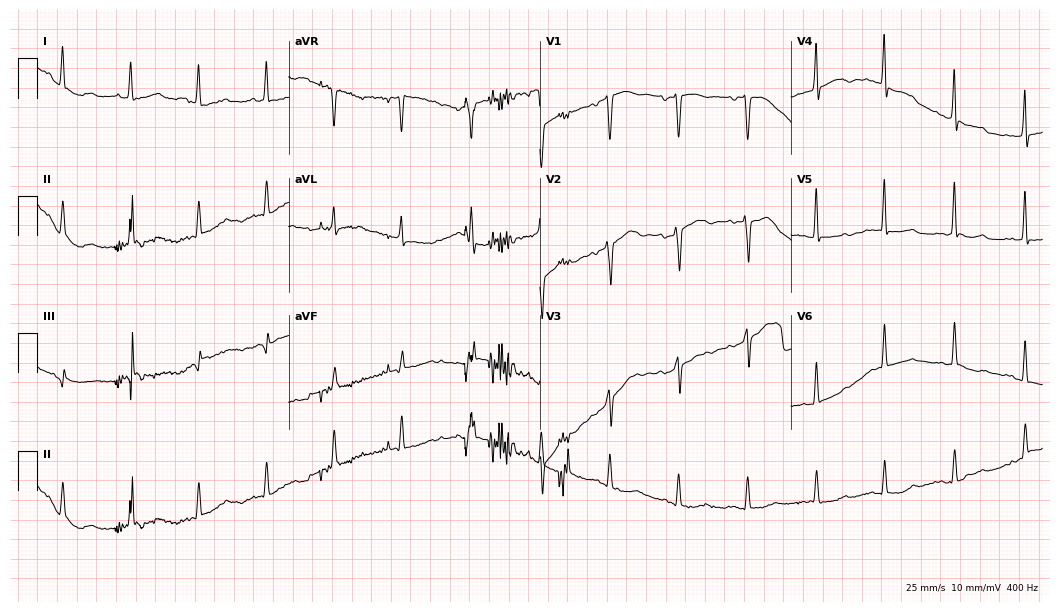
Resting 12-lead electrocardiogram. Patient: a woman, 75 years old. Read as a normal ECG.